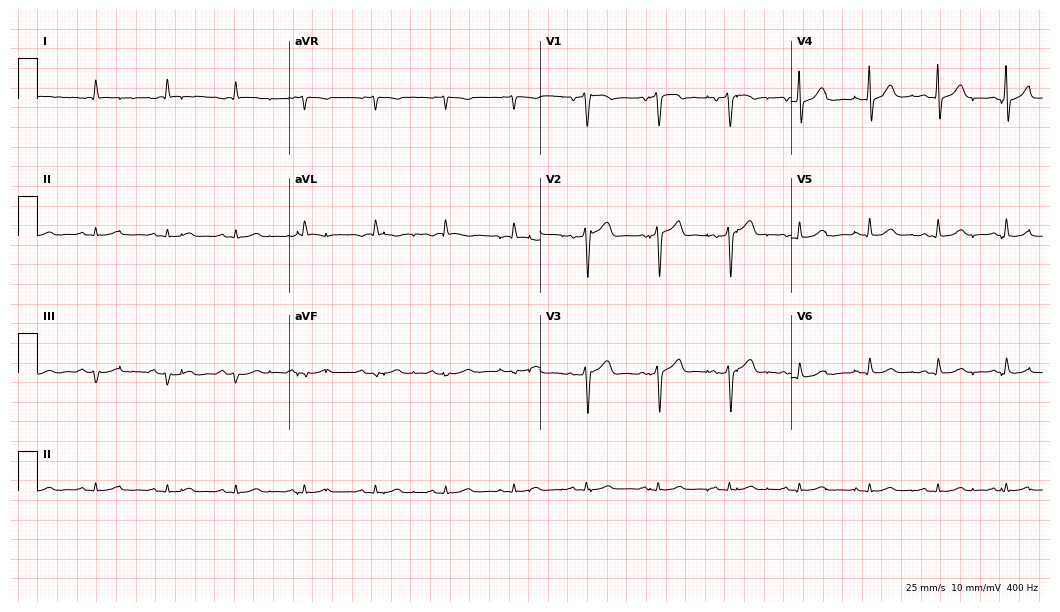
Resting 12-lead electrocardiogram. Patient: a male, 64 years old. None of these six findings is recorded: first-degree AV block, right bundle branch block, left bundle branch block, sinus bradycardia, atrial fibrillation, sinus tachycardia. Other findings, if any, are not listed.